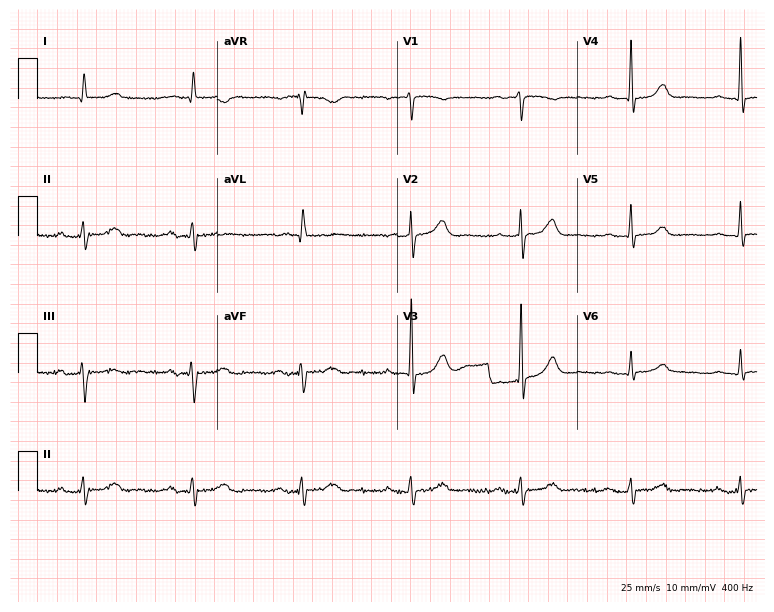
12-lead ECG from a male, 75 years old. Labelled as a normal ECG.